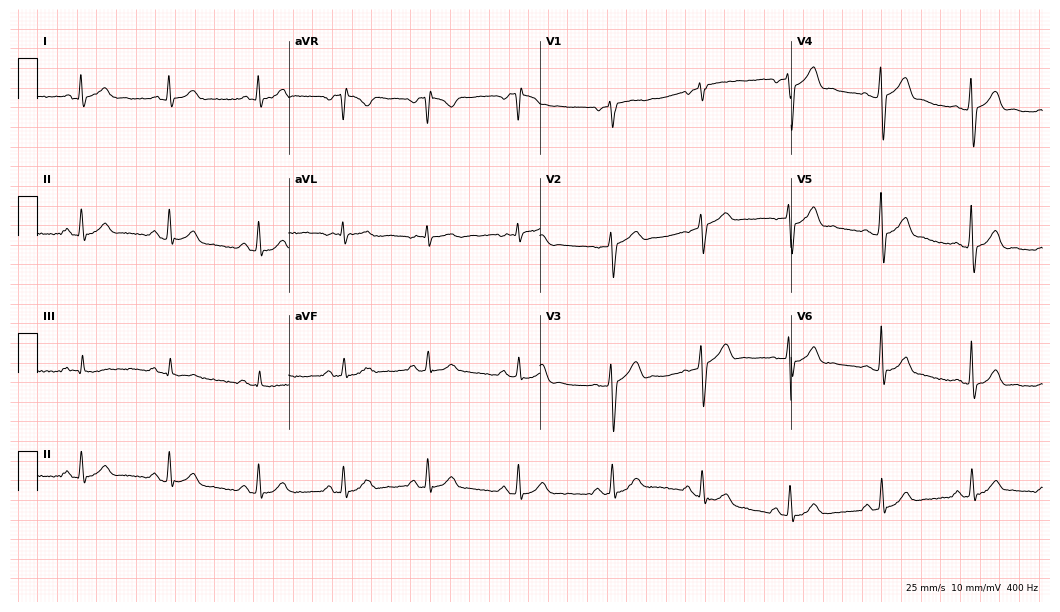
Resting 12-lead electrocardiogram (10.2-second recording at 400 Hz). Patient: a 62-year-old male. Read as a normal ECG.